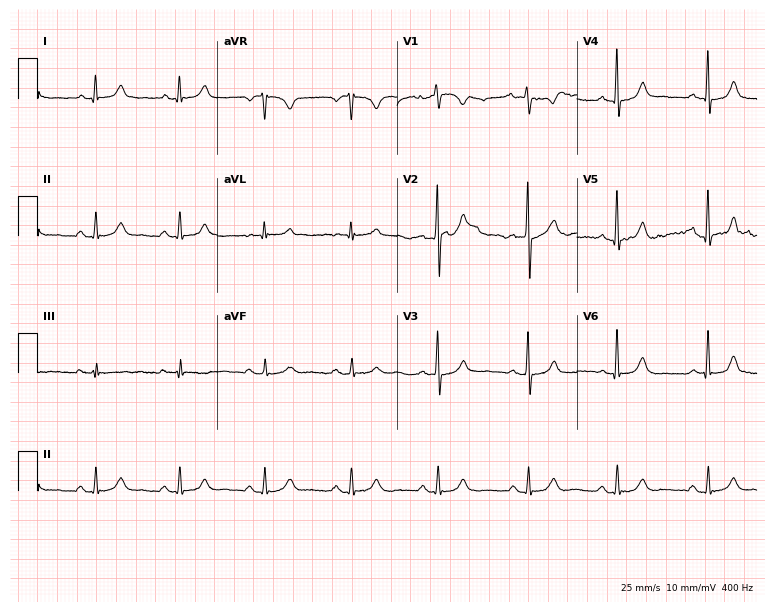
Electrocardiogram, a female patient, 58 years old. Of the six screened findings (first-degree AV block, right bundle branch block, left bundle branch block, sinus bradycardia, atrial fibrillation, sinus tachycardia), none is recorded. Findings outside these six are not listed.